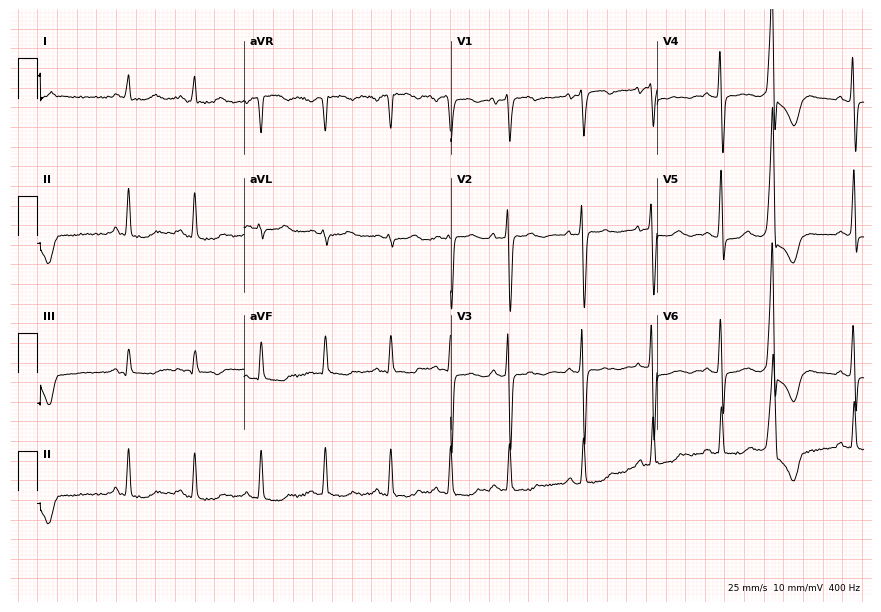
Electrocardiogram (8.4-second recording at 400 Hz), a 59-year-old woman. Of the six screened findings (first-degree AV block, right bundle branch block, left bundle branch block, sinus bradycardia, atrial fibrillation, sinus tachycardia), none is recorded. Other findings, if any, are not listed.